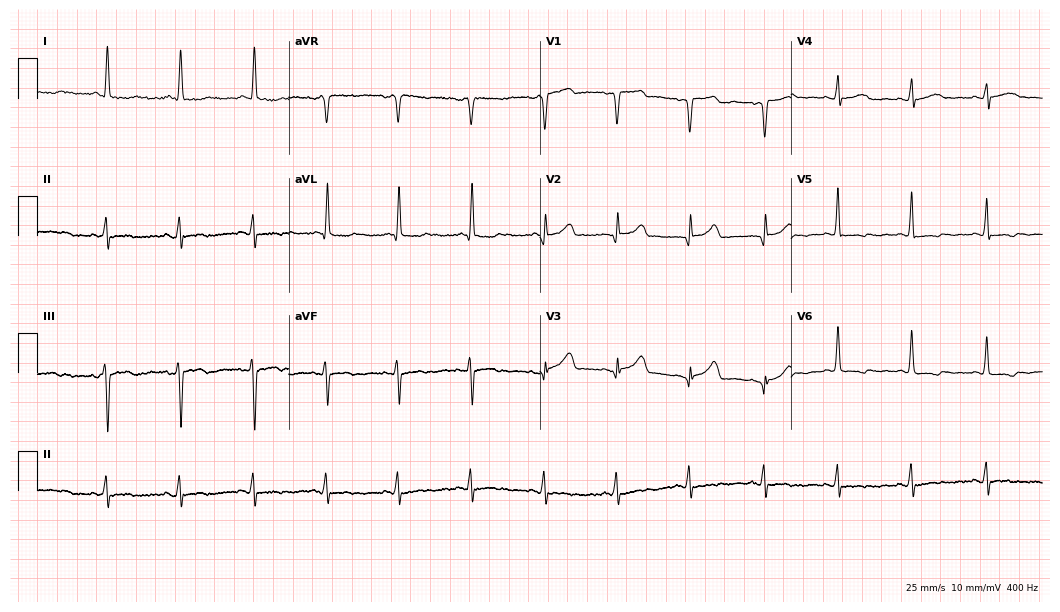
Standard 12-lead ECG recorded from a female, 70 years old. None of these six findings is recorded: first-degree AV block, right bundle branch block (RBBB), left bundle branch block (LBBB), sinus bradycardia, atrial fibrillation (AF), sinus tachycardia.